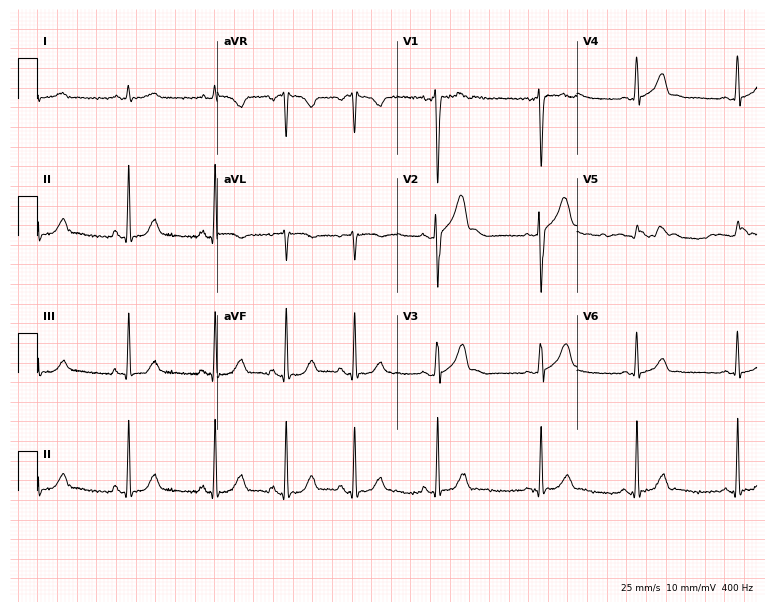
Standard 12-lead ECG recorded from a 24-year-old male. None of these six findings is recorded: first-degree AV block, right bundle branch block, left bundle branch block, sinus bradycardia, atrial fibrillation, sinus tachycardia.